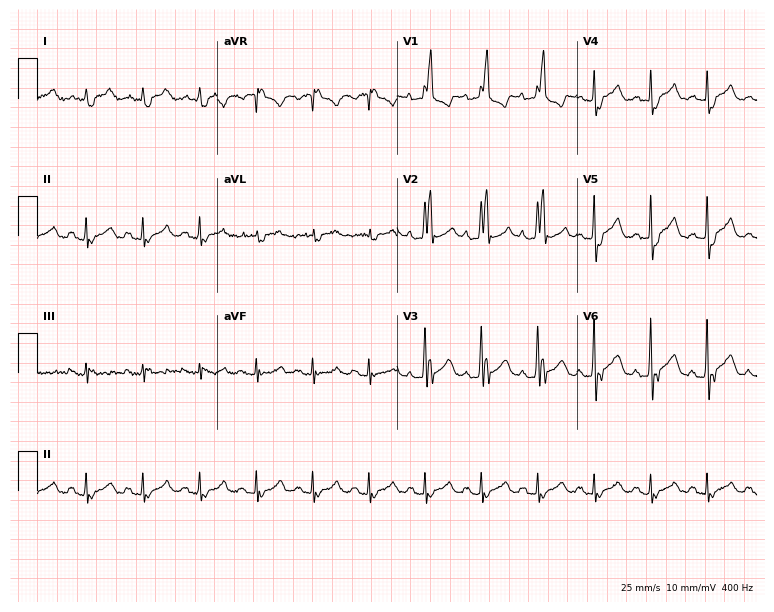
ECG — an 82-year-old male. Findings include right bundle branch block (RBBB), sinus tachycardia (a sinus rate of 100 beats per minute or more).